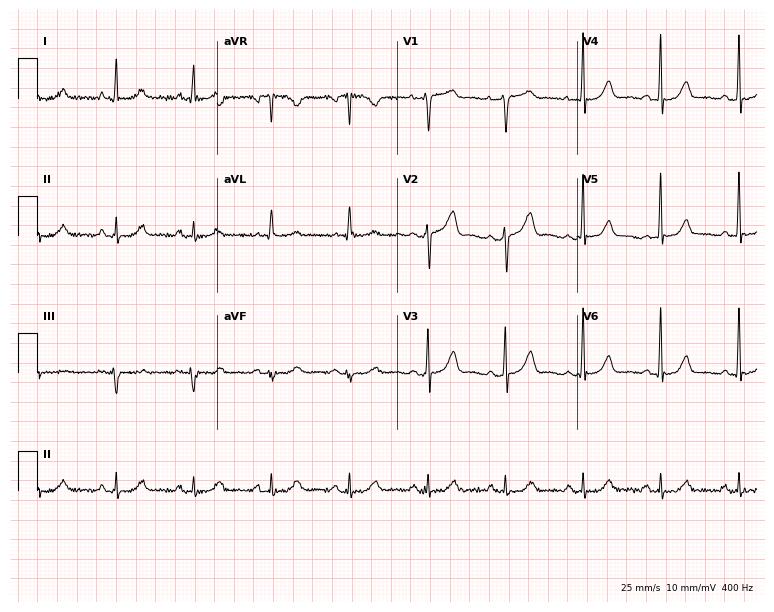
ECG (7.3-second recording at 400 Hz) — a 58-year-old female patient. Screened for six findings — first-degree AV block, right bundle branch block, left bundle branch block, sinus bradycardia, atrial fibrillation, sinus tachycardia — none is recorded.